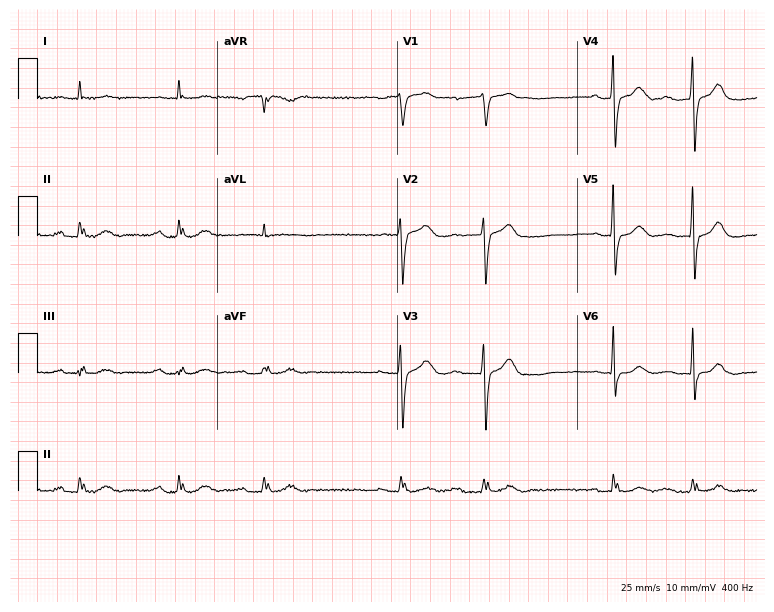
Electrocardiogram (7.3-second recording at 400 Hz), a man, 82 years old. Of the six screened findings (first-degree AV block, right bundle branch block, left bundle branch block, sinus bradycardia, atrial fibrillation, sinus tachycardia), none is recorded.